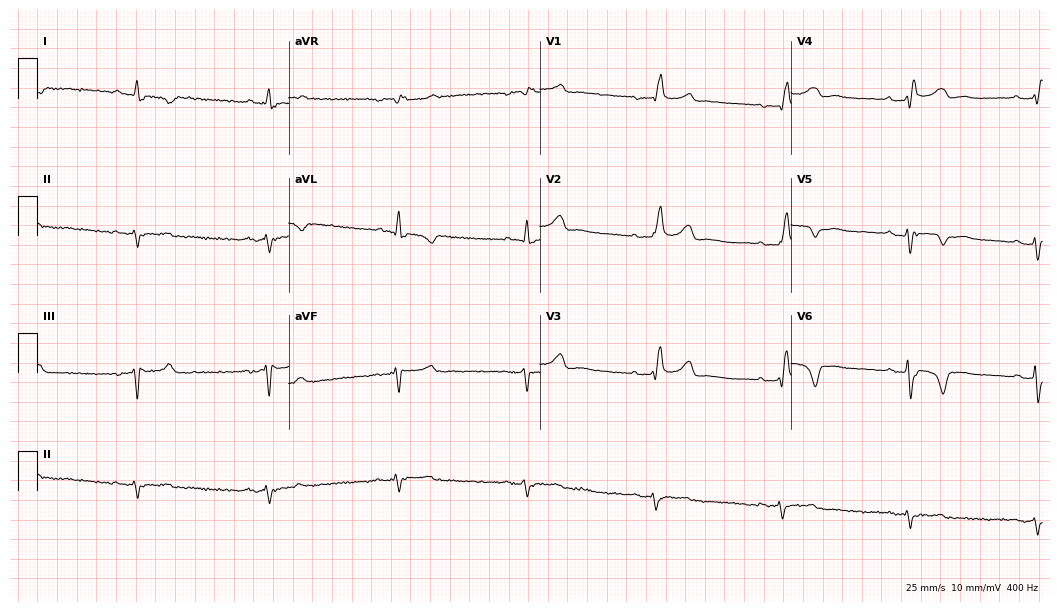
12-lead ECG (10.2-second recording at 400 Hz) from an 80-year-old male patient. Findings include right bundle branch block, sinus bradycardia (a sinus rate of 50 beats per minute or less).